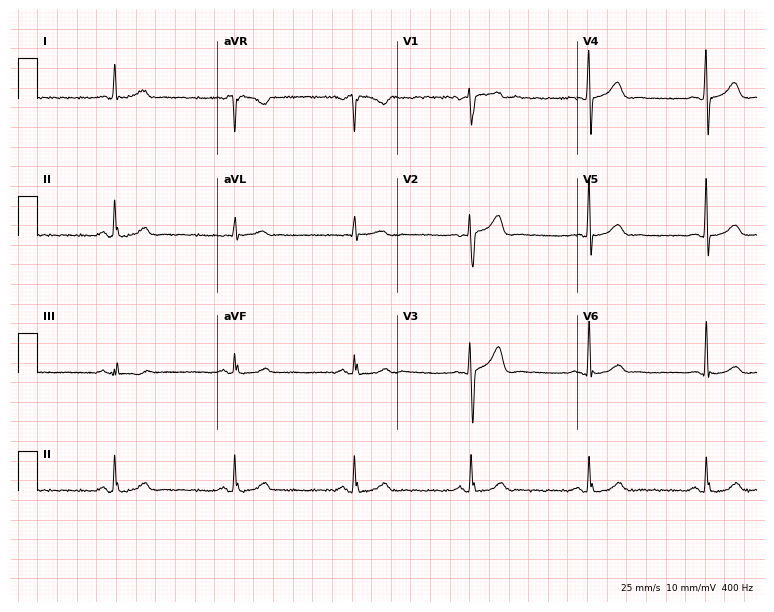
12-lead ECG from a 59-year-old man. Shows right bundle branch block, sinus bradycardia (a sinus rate of 50 beats per minute or less).